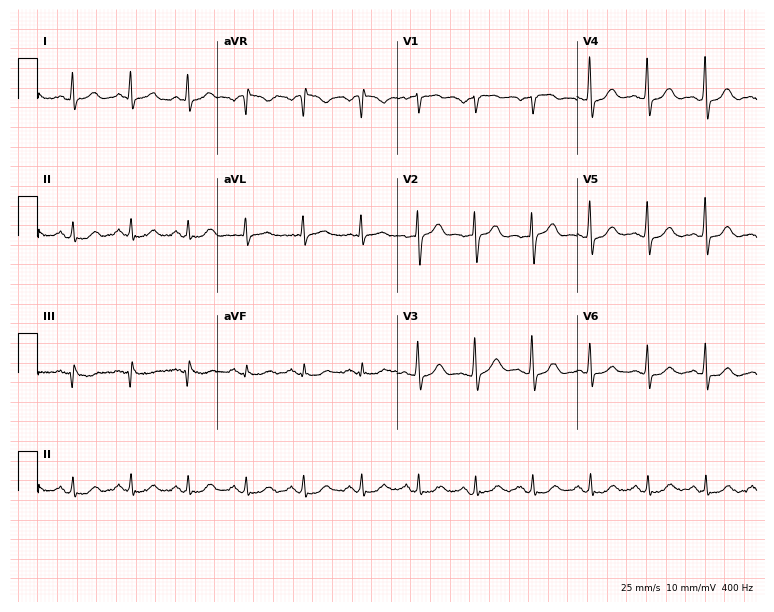
12-lead ECG from a man, 73 years old (7.3-second recording at 400 Hz). Shows sinus tachycardia (a sinus rate of 100 beats per minute or more).